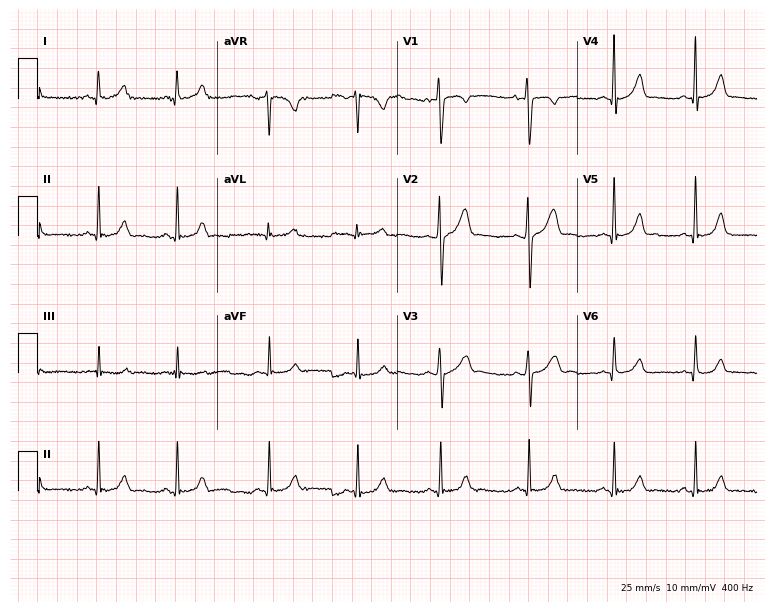
Standard 12-lead ECG recorded from a woman, 18 years old (7.3-second recording at 400 Hz). Read as a normal ECG.